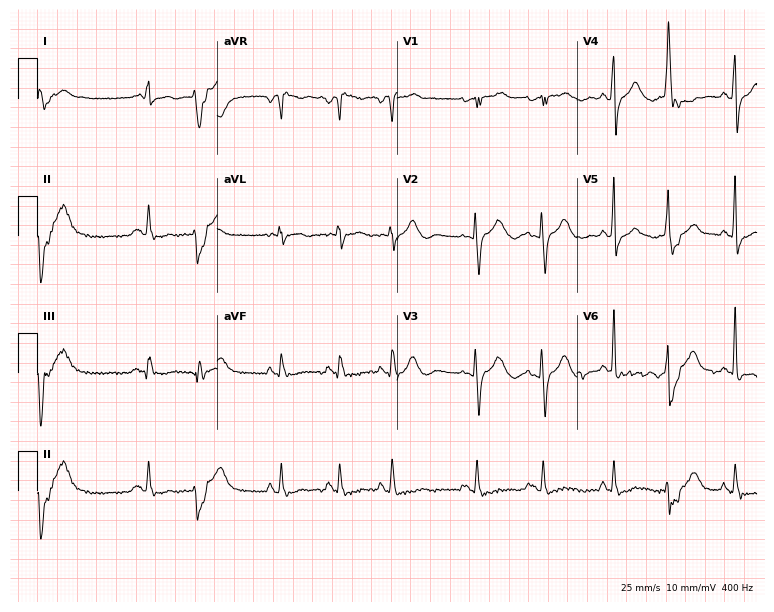
Electrocardiogram, a 37-year-old woman. Overall reading on record: normal ECG.